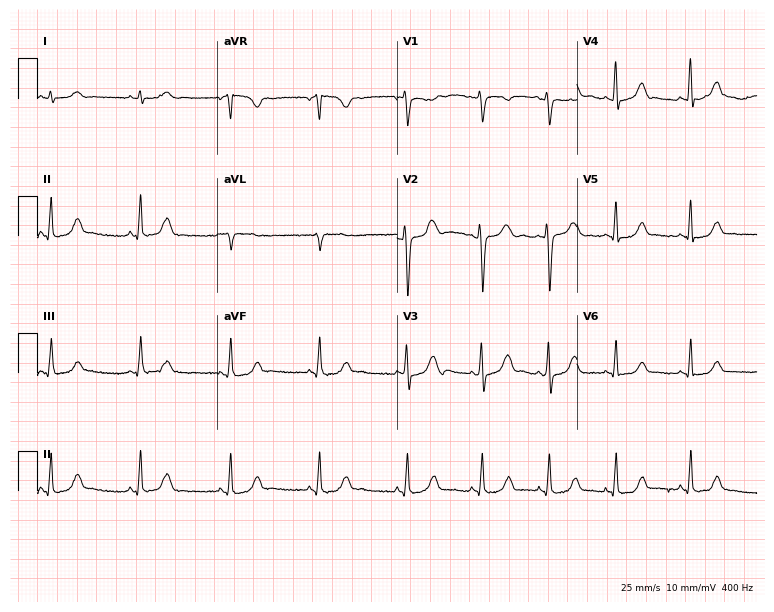
Standard 12-lead ECG recorded from a 17-year-old female patient (7.3-second recording at 400 Hz). None of these six findings is recorded: first-degree AV block, right bundle branch block (RBBB), left bundle branch block (LBBB), sinus bradycardia, atrial fibrillation (AF), sinus tachycardia. Findings outside these six are not listed.